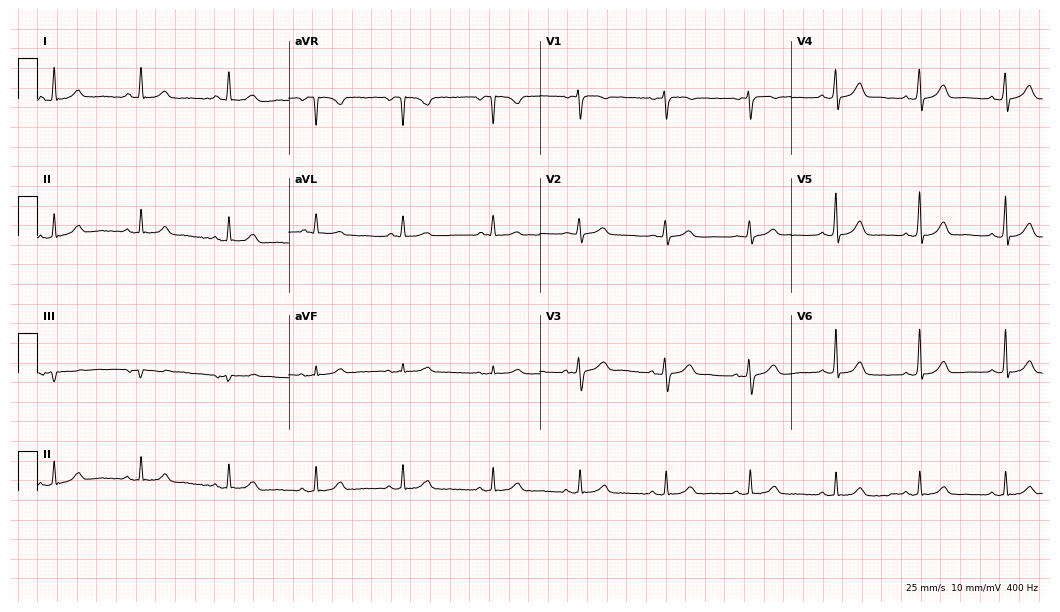
12-lead ECG from a male, 74 years old. Recorded interpretation: within normal limits.